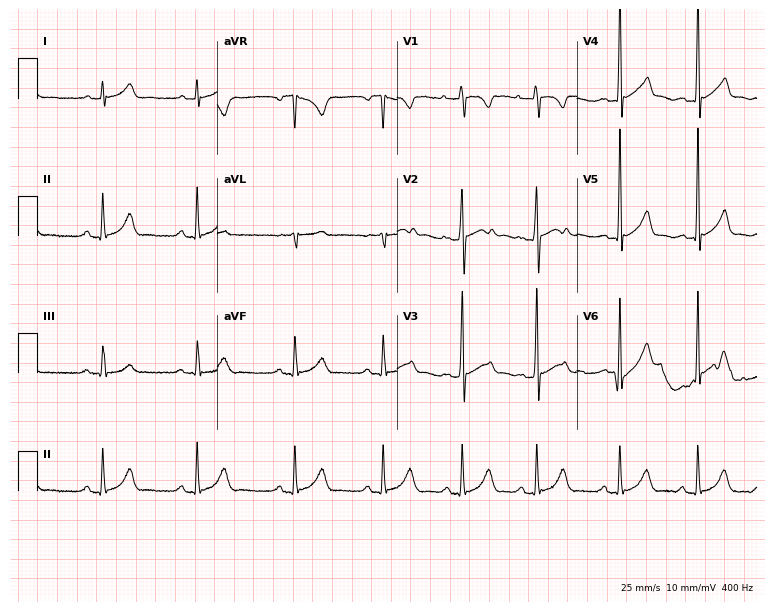
ECG (7.3-second recording at 400 Hz) — a 17-year-old man. Labelled as a normal ECG.